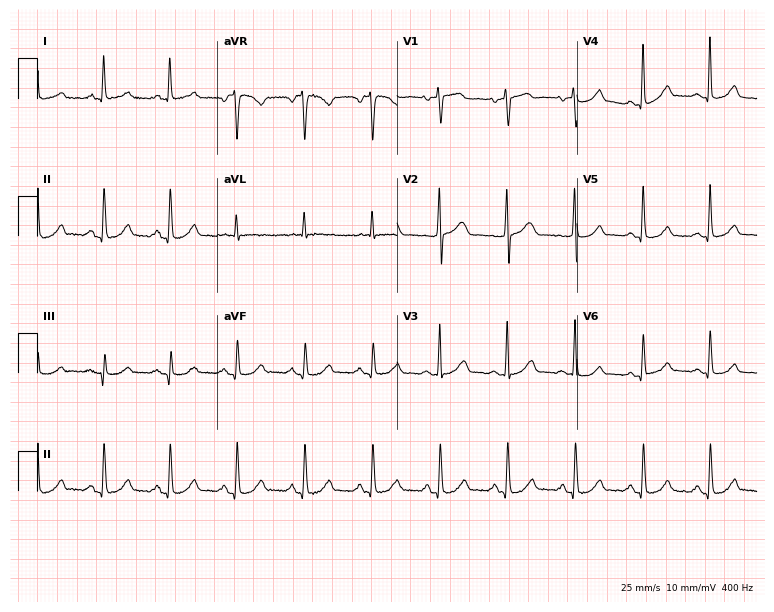
Resting 12-lead electrocardiogram. Patient: a female, 65 years old. None of these six findings is recorded: first-degree AV block, right bundle branch block, left bundle branch block, sinus bradycardia, atrial fibrillation, sinus tachycardia.